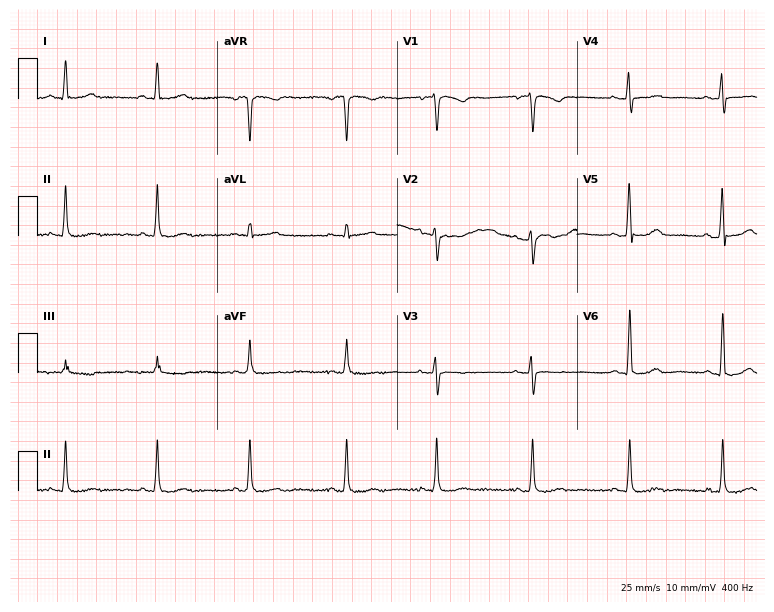
ECG (7.3-second recording at 400 Hz) — a 65-year-old female. Screened for six findings — first-degree AV block, right bundle branch block, left bundle branch block, sinus bradycardia, atrial fibrillation, sinus tachycardia — none is recorded. Other findings, if any, are not listed.